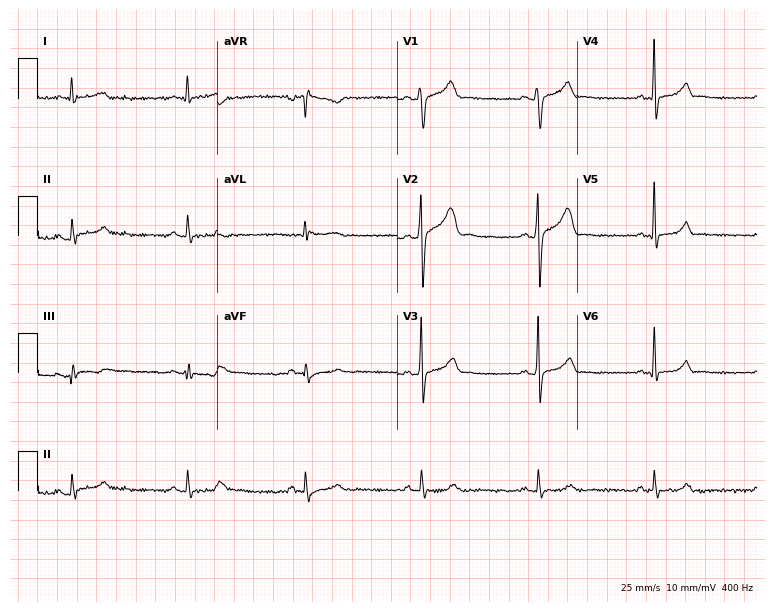
12-lead ECG from a man, 30 years old. Labelled as a normal ECG.